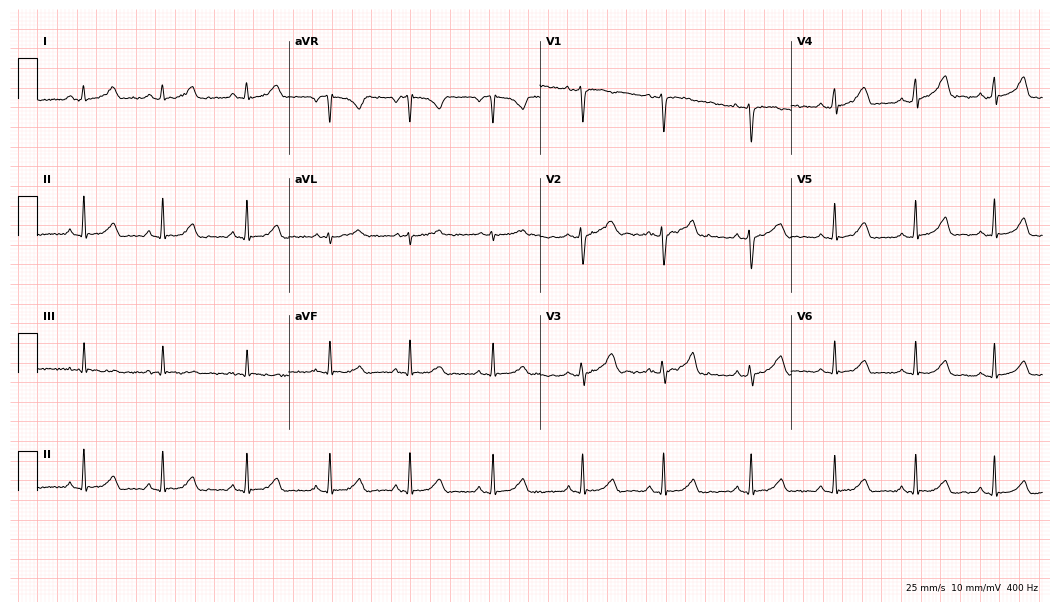
ECG (10.2-second recording at 400 Hz) — a 22-year-old female patient. Labelled as a normal ECG.